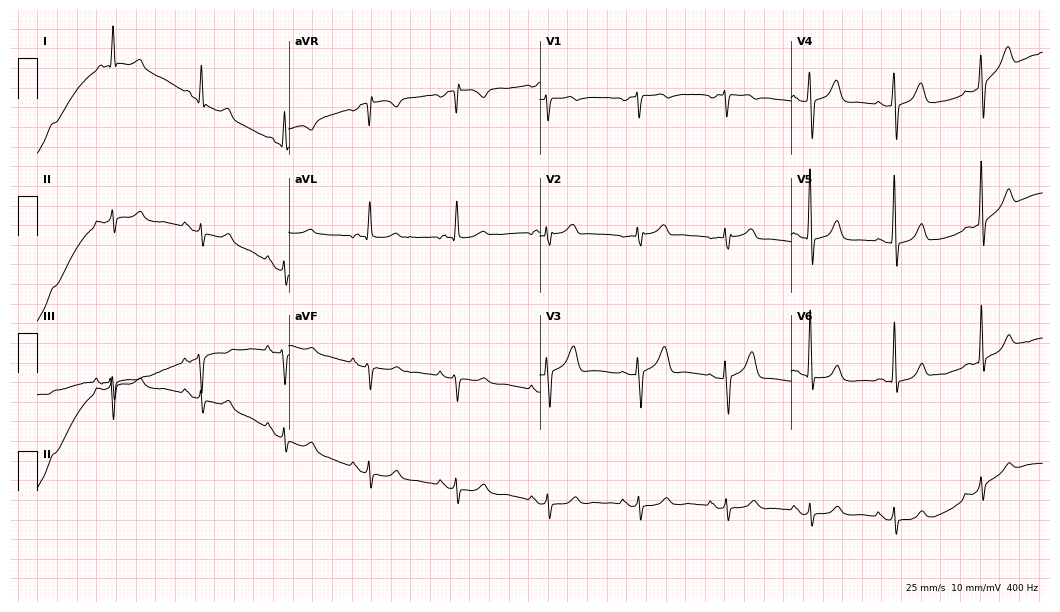
Electrocardiogram, a male patient, 84 years old. Of the six screened findings (first-degree AV block, right bundle branch block, left bundle branch block, sinus bradycardia, atrial fibrillation, sinus tachycardia), none is recorded. Only these six findings were labelled.